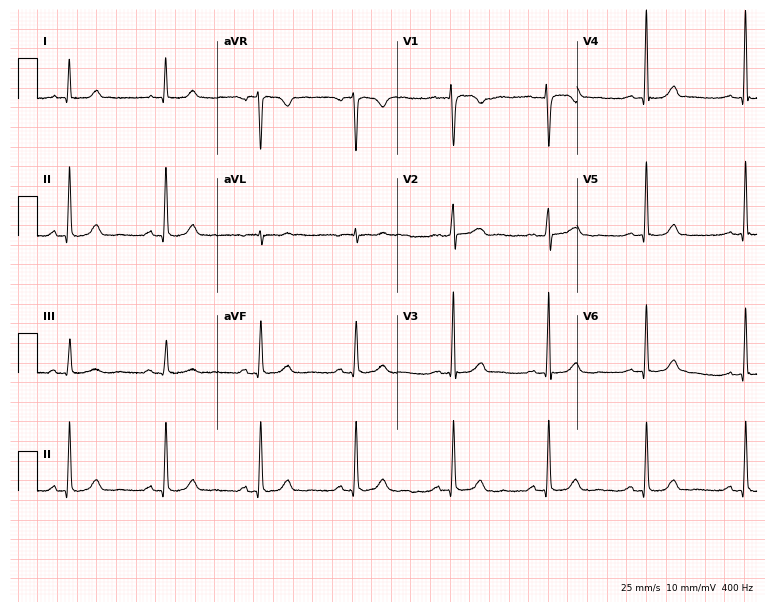
Electrocardiogram, a female patient, 43 years old. Overall reading on record: normal ECG.